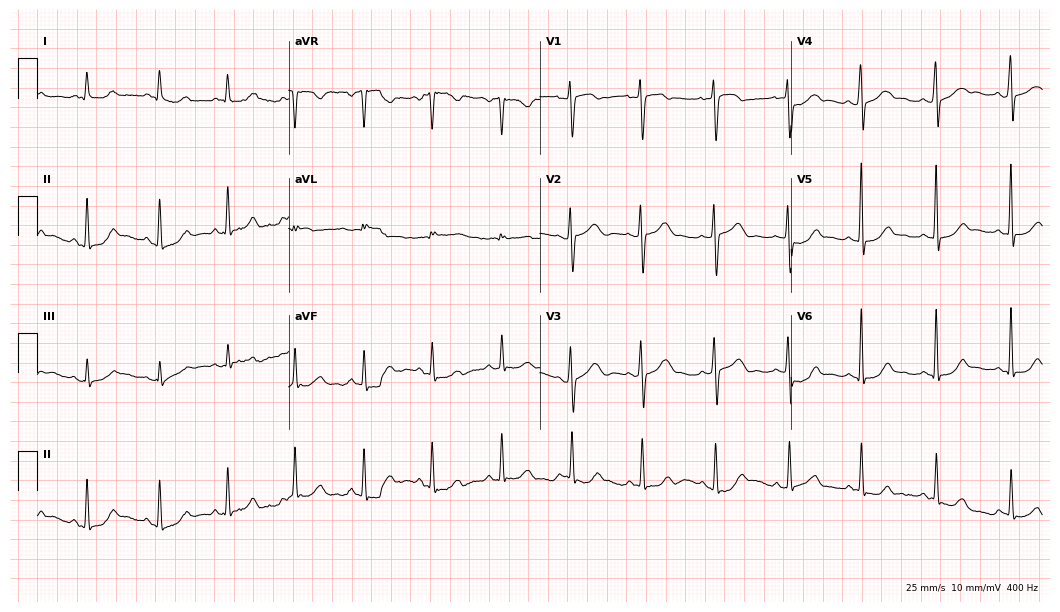
Electrocardiogram (10.2-second recording at 400 Hz), a female, 36 years old. Of the six screened findings (first-degree AV block, right bundle branch block, left bundle branch block, sinus bradycardia, atrial fibrillation, sinus tachycardia), none is recorded.